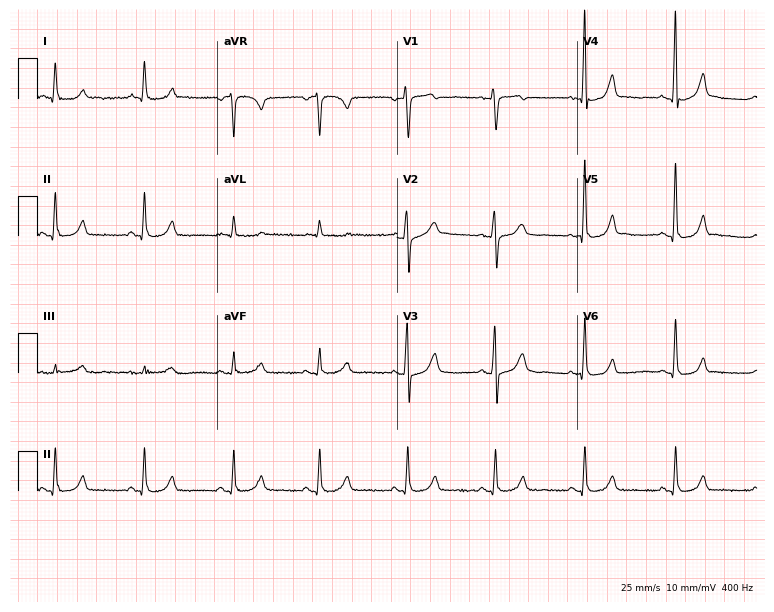
12-lead ECG (7.3-second recording at 400 Hz) from a female patient, 68 years old. Labelled as a normal ECG.